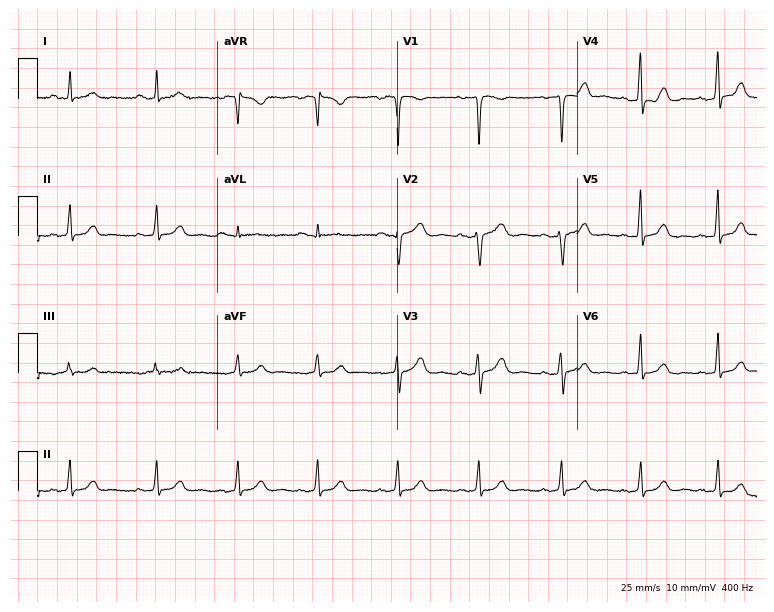
12-lead ECG from a female, 32 years old. Labelled as a normal ECG.